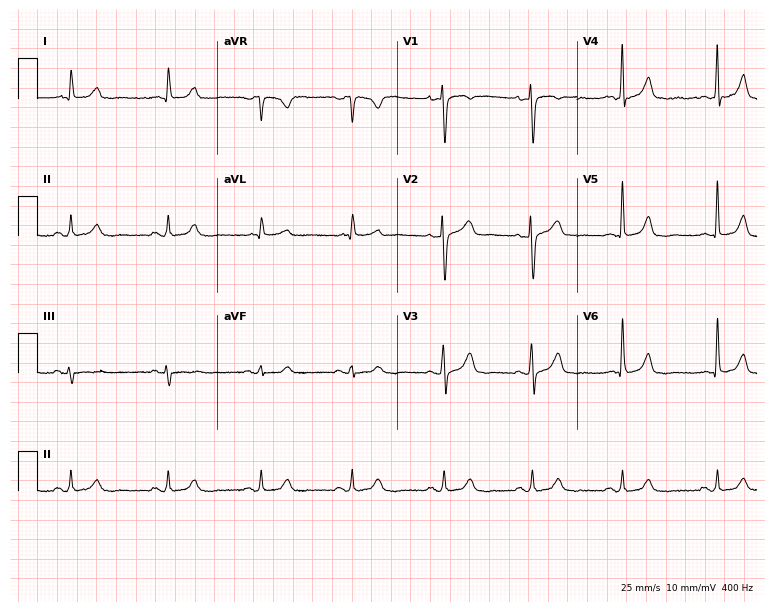
12-lead ECG from a 60-year-old woman. Screened for six findings — first-degree AV block, right bundle branch block (RBBB), left bundle branch block (LBBB), sinus bradycardia, atrial fibrillation (AF), sinus tachycardia — none is recorded. Findings outside these six are not listed.